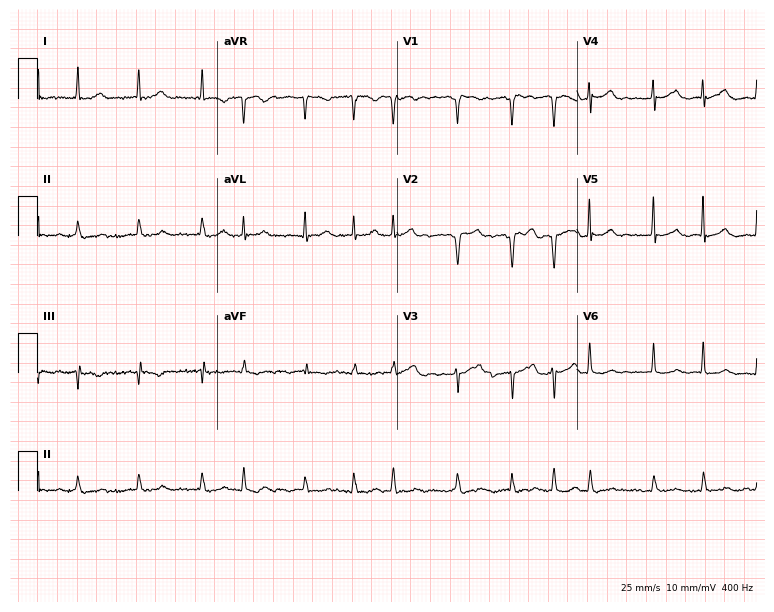
Resting 12-lead electrocardiogram. Patient: a female, 83 years old. The tracing shows atrial fibrillation.